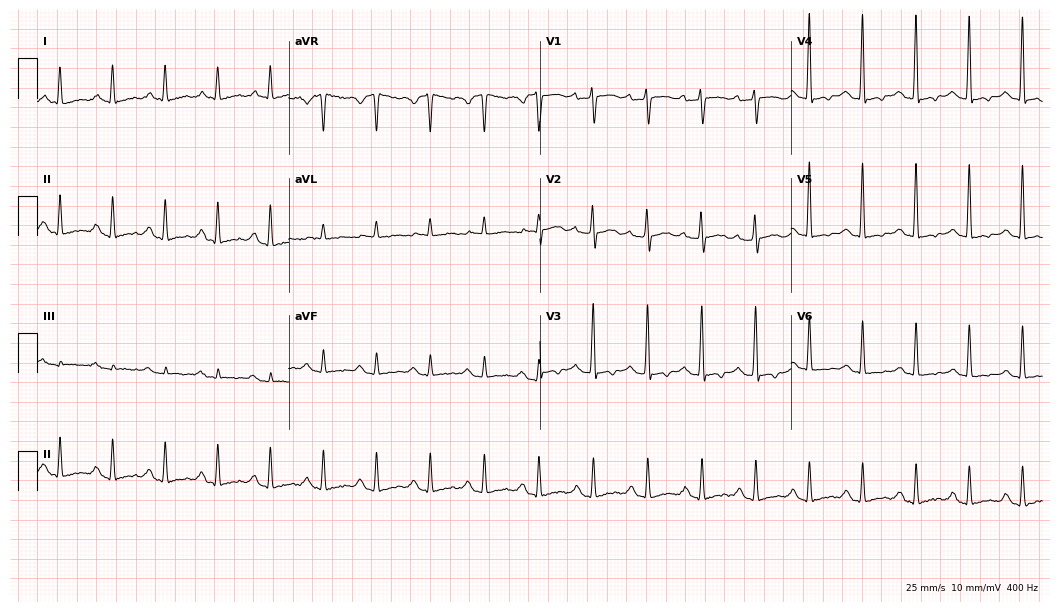
12-lead ECG (10.2-second recording at 400 Hz) from a 45-year-old man. Findings include sinus tachycardia (a sinus rate of 100 beats per minute or more).